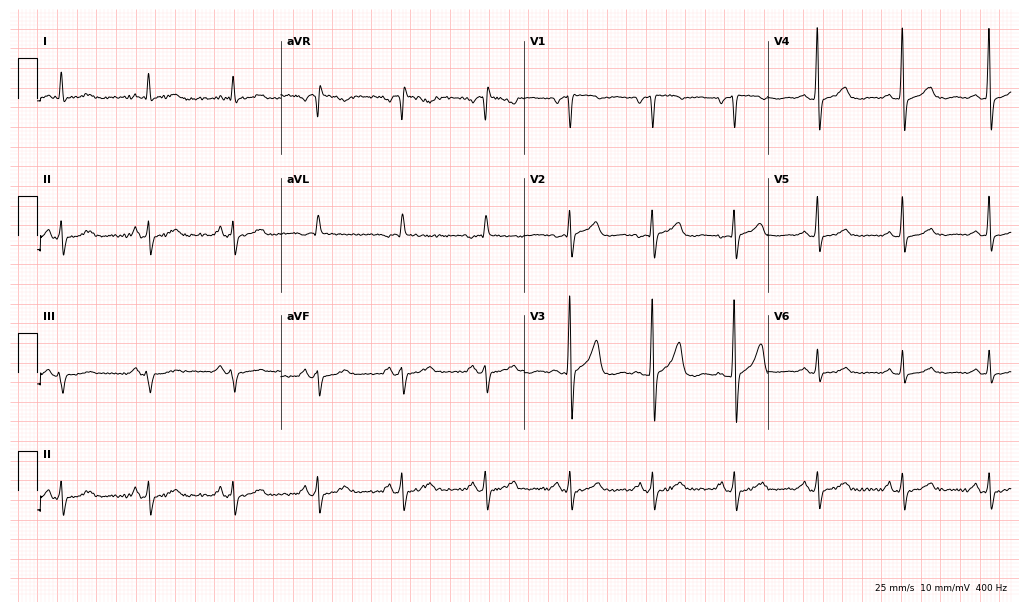
ECG (9.9-second recording at 400 Hz) — a 55-year-old man. Screened for six findings — first-degree AV block, right bundle branch block (RBBB), left bundle branch block (LBBB), sinus bradycardia, atrial fibrillation (AF), sinus tachycardia — none is recorded. Only these six findings were labelled.